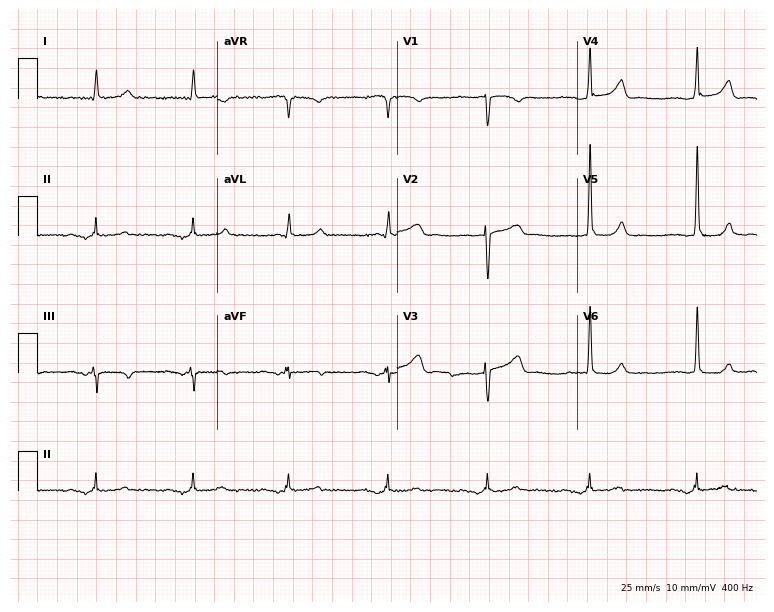
12-lead ECG from a female patient, 73 years old (7.3-second recording at 400 Hz). No first-degree AV block, right bundle branch block, left bundle branch block, sinus bradycardia, atrial fibrillation or sinus tachycardia recorded for this tracing.